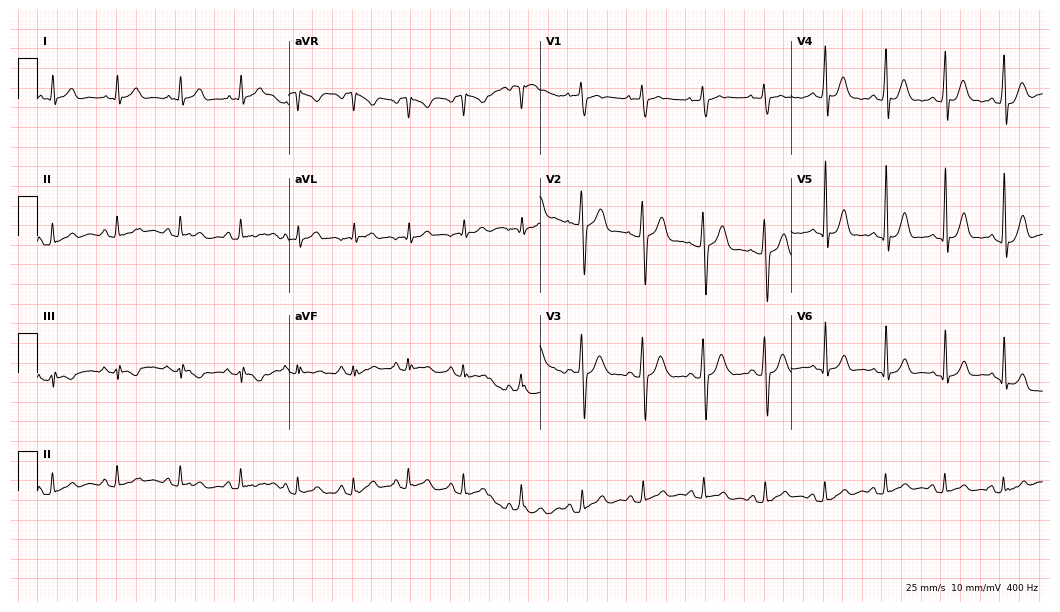
Electrocardiogram, an 18-year-old male patient. Overall reading on record: normal ECG.